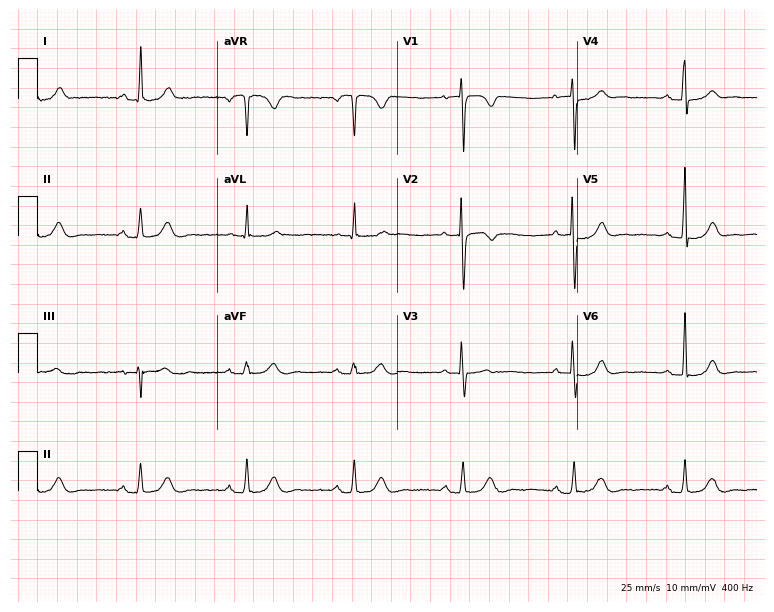
ECG — a female patient, 62 years old. Labelled as a normal ECG.